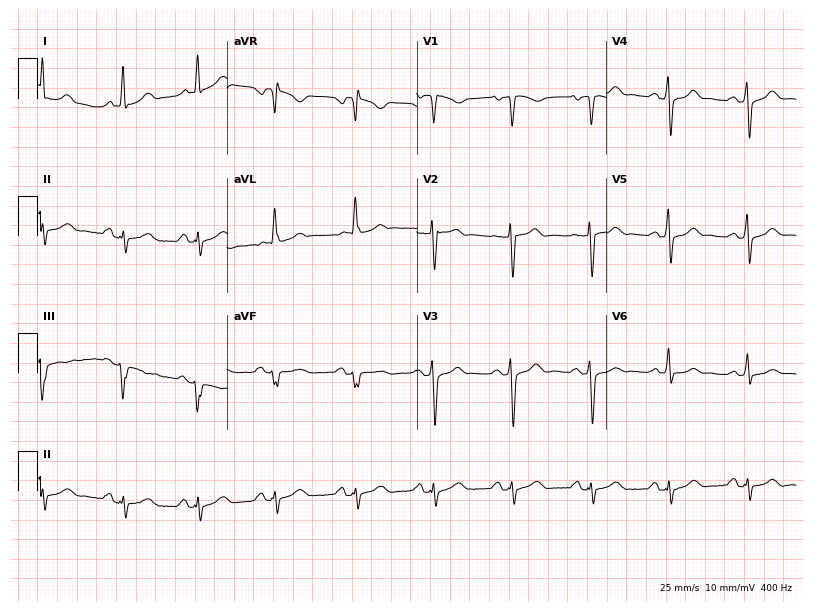
12-lead ECG from a 48-year-old woman. Screened for six findings — first-degree AV block, right bundle branch block, left bundle branch block, sinus bradycardia, atrial fibrillation, sinus tachycardia — none is recorded. Findings outside these six are not listed.